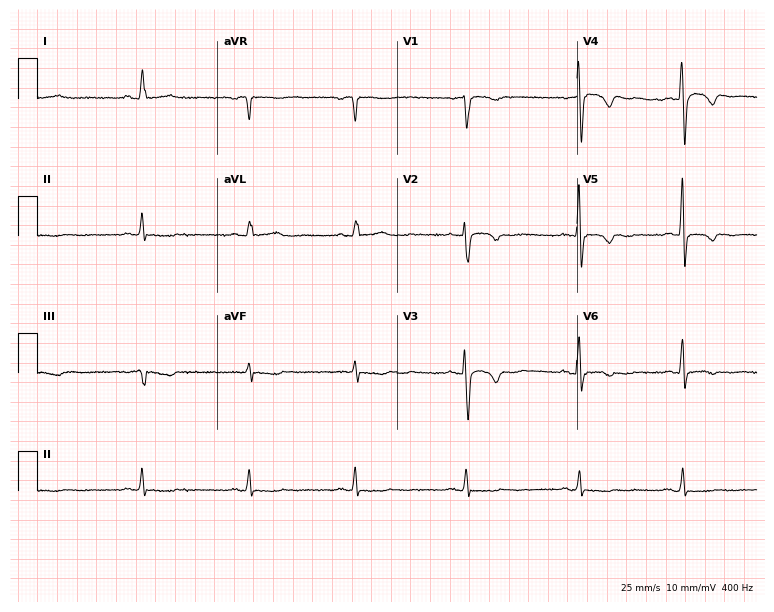
Electrocardiogram, a female, 40 years old. Of the six screened findings (first-degree AV block, right bundle branch block, left bundle branch block, sinus bradycardia, atrial fibrillation, sinus tachycardia), none is recorded. Other findings, if any, are not listed.